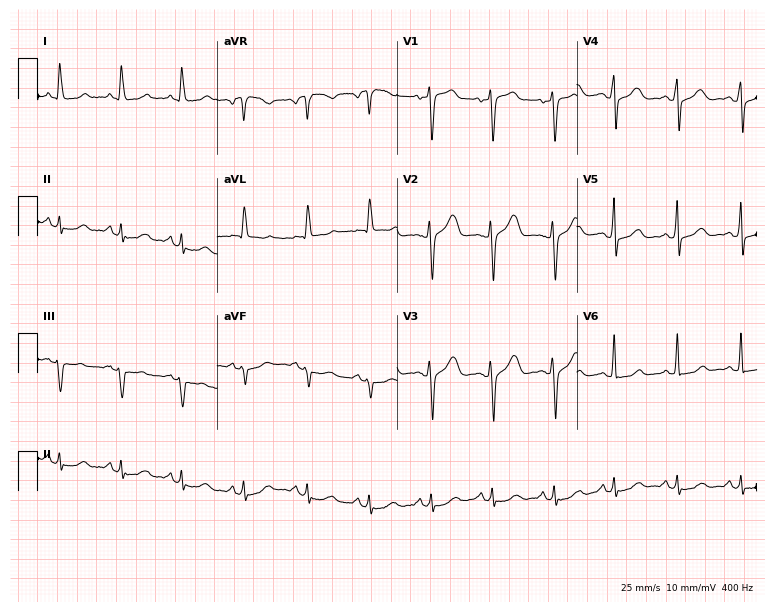
Electrocardiogram, a woman, 62 years old. Of the six screened findings (first-degree AV block, right bundle branch block, left bundle branch block, sinus bradycardia, atrial fibrillation, sinus tachycardia), none is recorded. Other findings, if any, are not listed.